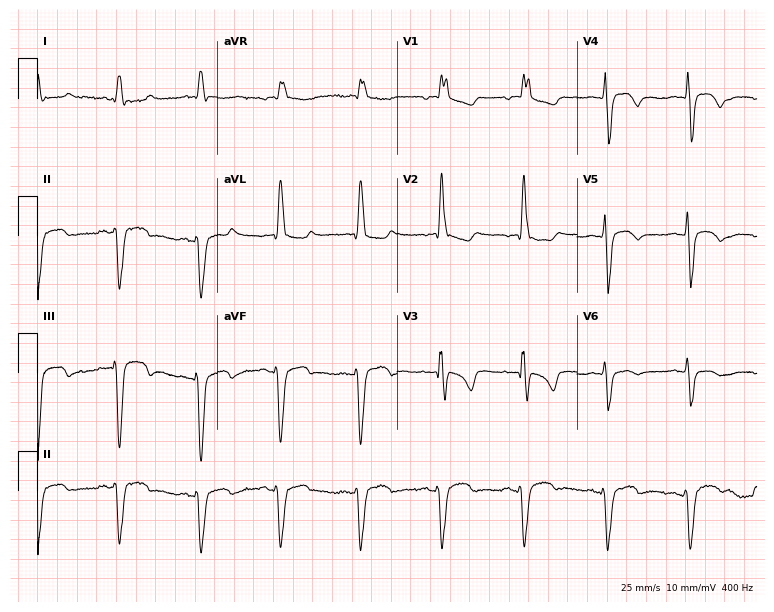
12-lead ECG from a 44-year-old man (7.3-second recording at 400 Hz). Shows right bundle branch block.